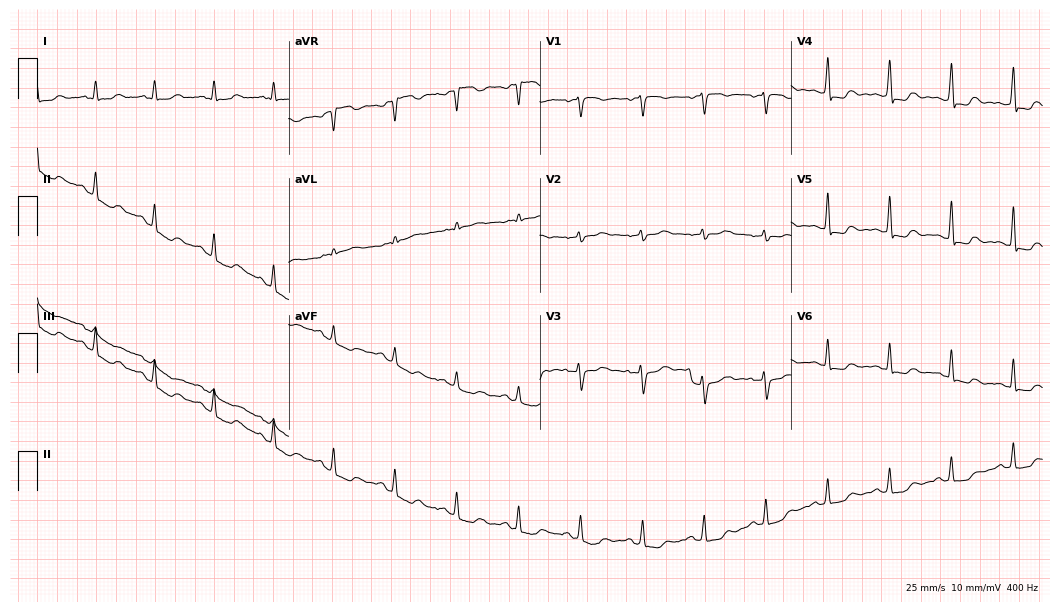
Resting 12-lead electrocardiogram. Patient: a female, 47 years old. Read as a normal ECG.